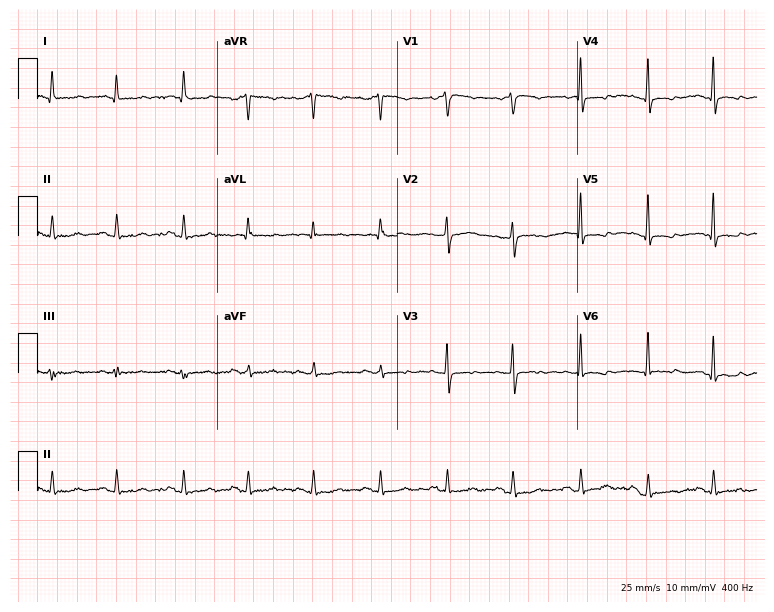
12-lead ECG from a female, 83 years old (7.3-second recording at 400 Hz). Recorded interpretation: within normal limits.